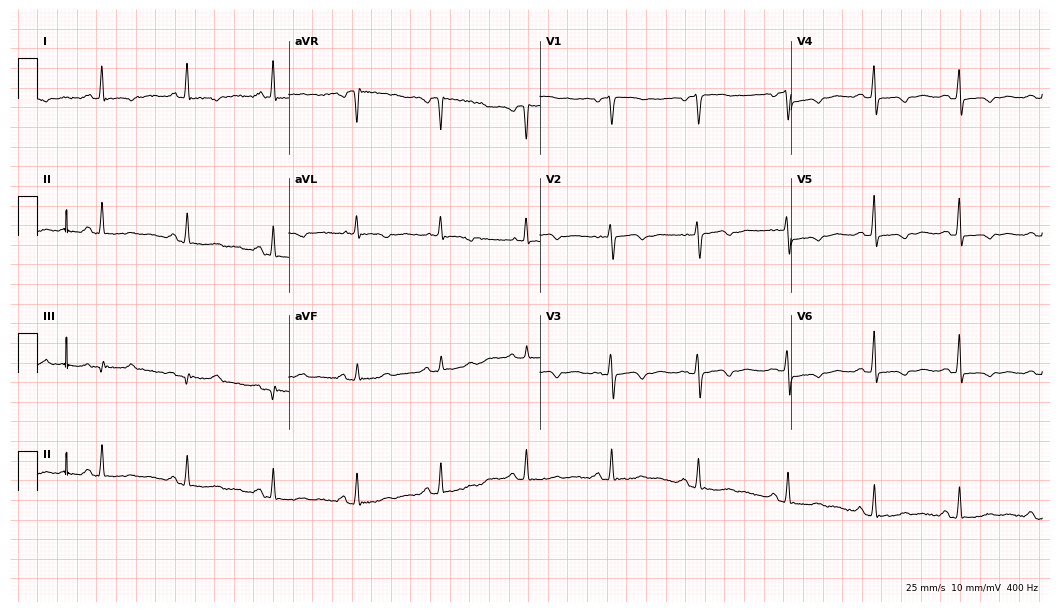
Resting 12-lead electrocardiogram. Patient: a woman, 64 years old. None of these six findings is recorded: first-degree AV block, right bundle branch block, left bundle branch block, sinus bradycardia, atrial fibrillation, sinus tachycardia.